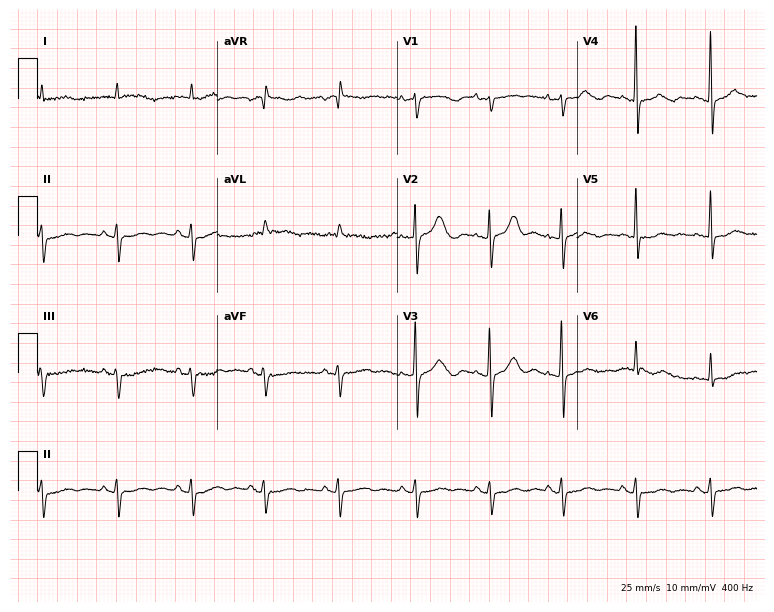
12-lead ECG (7.3-second recording at 400 Hz) from an 80-year-old female. Screened for six findings — first-degree AV block, right bundle branch block, left bundle branch block, sinus bradycardia, atrial fibrillation, sinus tachycardia — none is recorded. Findings outside these six are not listed.